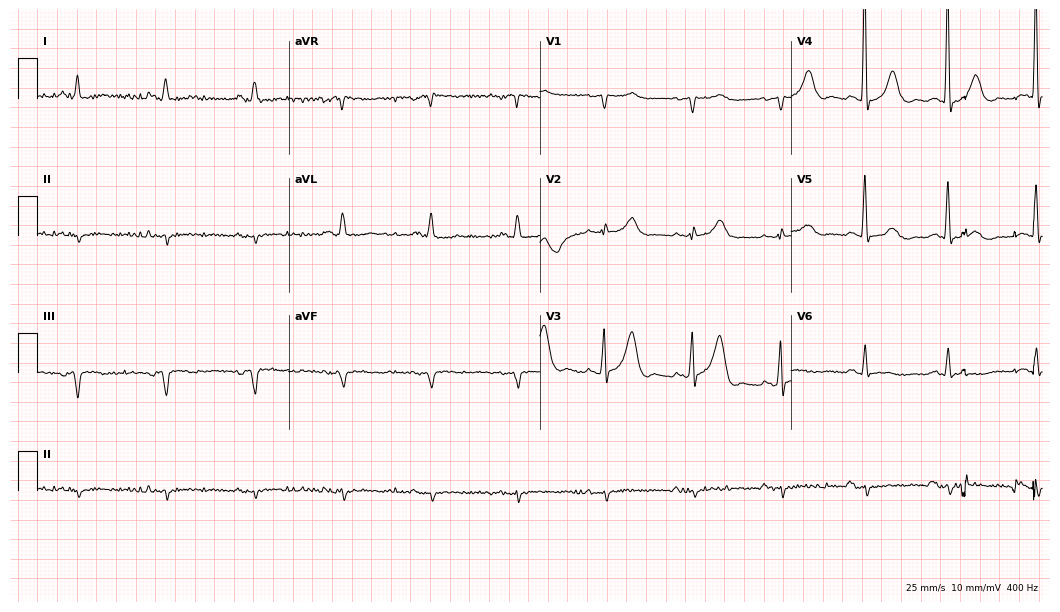
Standard 12-lead ECG recorded from a male patient, 81 years old (10.2-second recording at 400 Hz). None of these six findings is recorded: first-degree AV block, right bundle branch block, left bundle branch block, sinus bradycardia, atrial fibrillation, sinus tachycardia. Only these six findings were labelled.